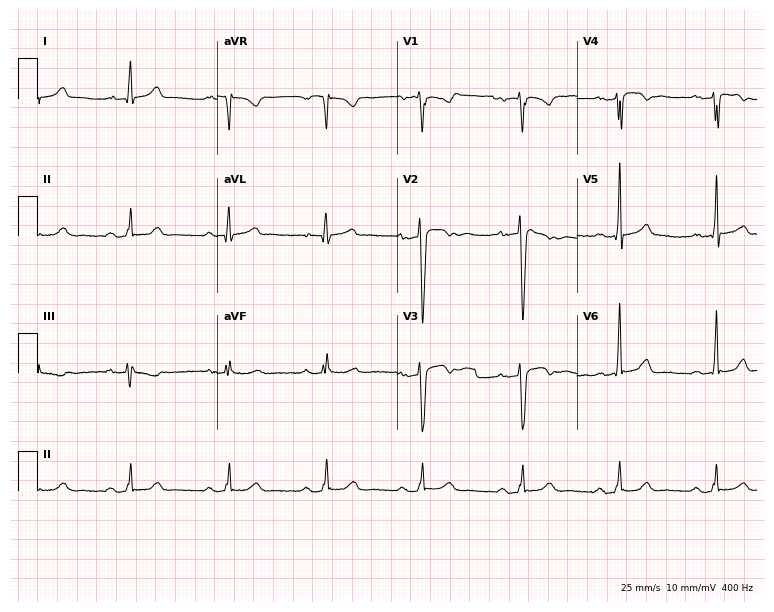
Standard 12-lead ECG recorded from a male patient, 35 years old. The tracing shows first-degree AV block.